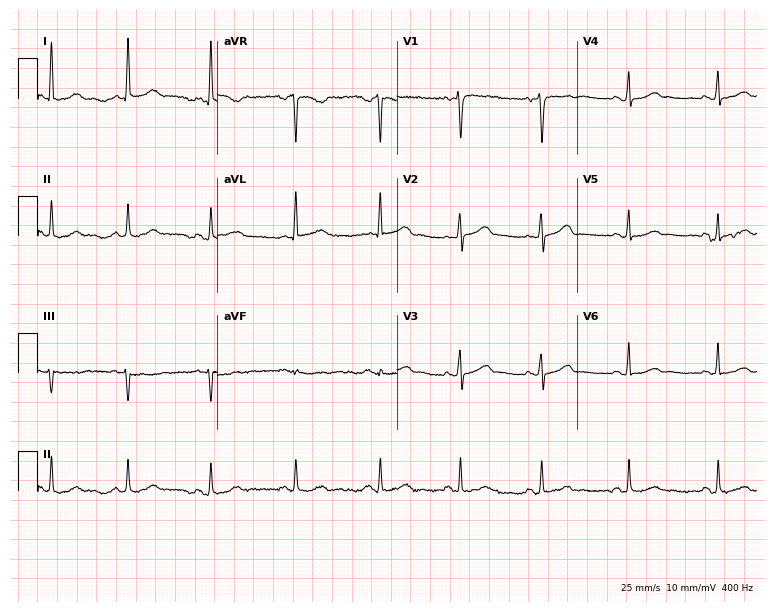
Resting 12-lead electrocardiogram (7.3-second recording at 400 Hz). Patient: a female, 42 years old. Read as a normal ECG.